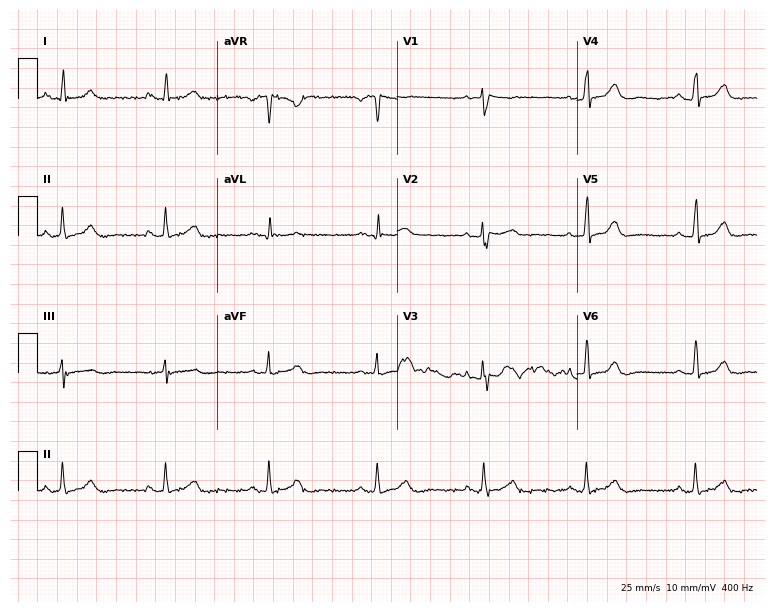
ECG — a 33-year-old female patient. Labelled as a normal ECG.